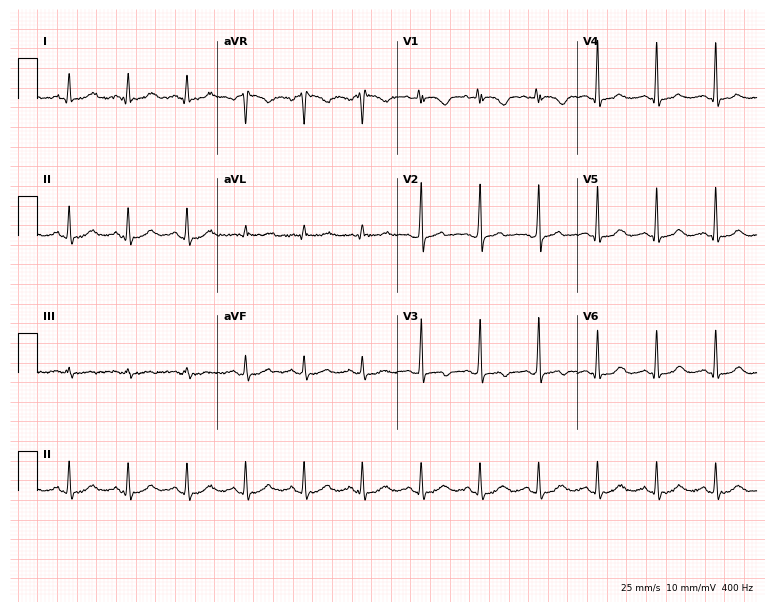
12-lead ECG (7.3-second recording at 400 Hz) from a female patient, 68 years old. Screened for six findings — first-degree AV block, right bundle branch block (RBBB), left bundle branch block (LBBB), sinus bradycardia, atrial fibrillation (AF), sinus tachycardia — none is recorded. Only these six findings were labelled.